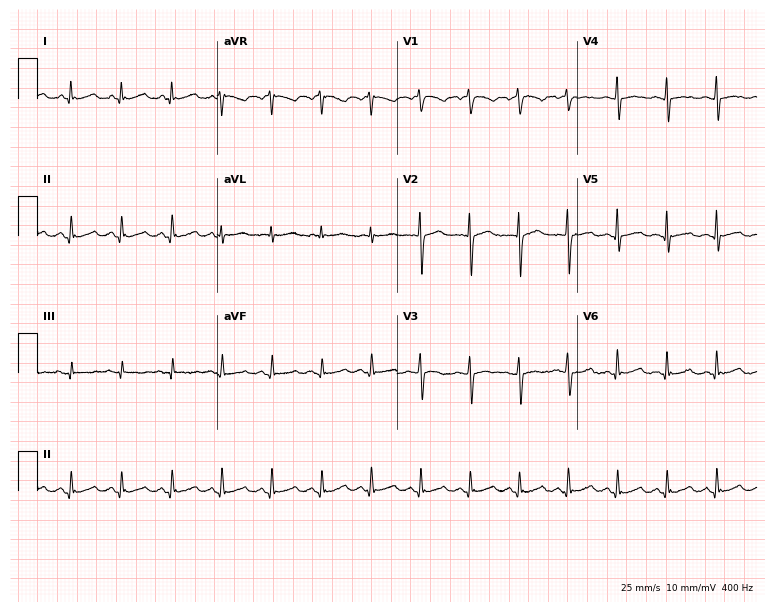
Electrocardiogram, a man, 42 years old. Interpretation includes sinus tachycardia (a sinus rate of 100 beats per minute or more).